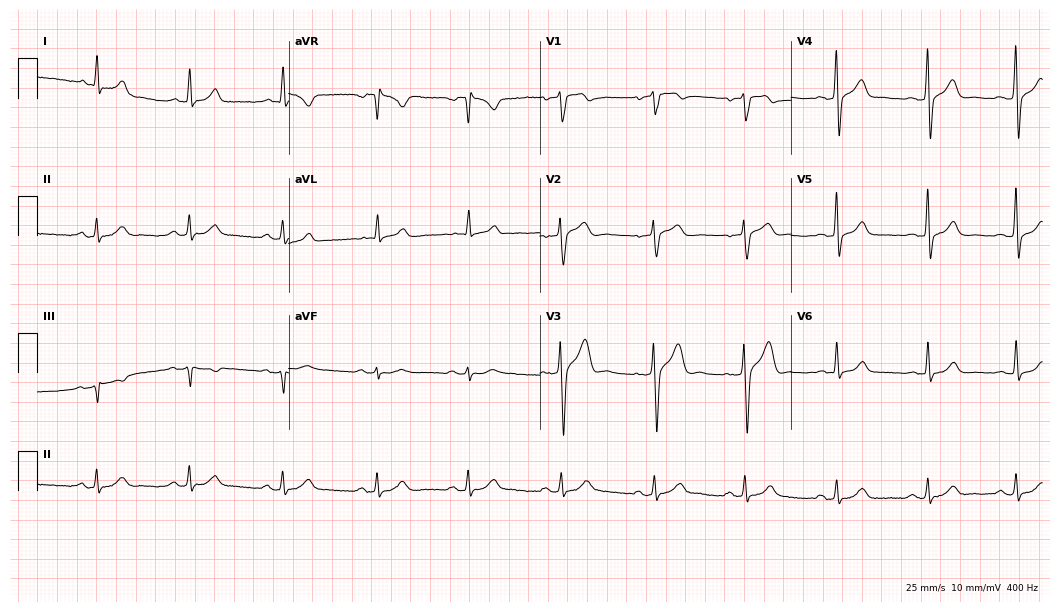
Resting 12-lead electrocardiogram. Patient: a 38-year-old man. None of these six findings is recorded: first-degree AV block, right bundle branch block (RBBB), left bundle branch block (LBBB), sinus bradycardia, atrial fibrillation (AF), sinus tachycardia.